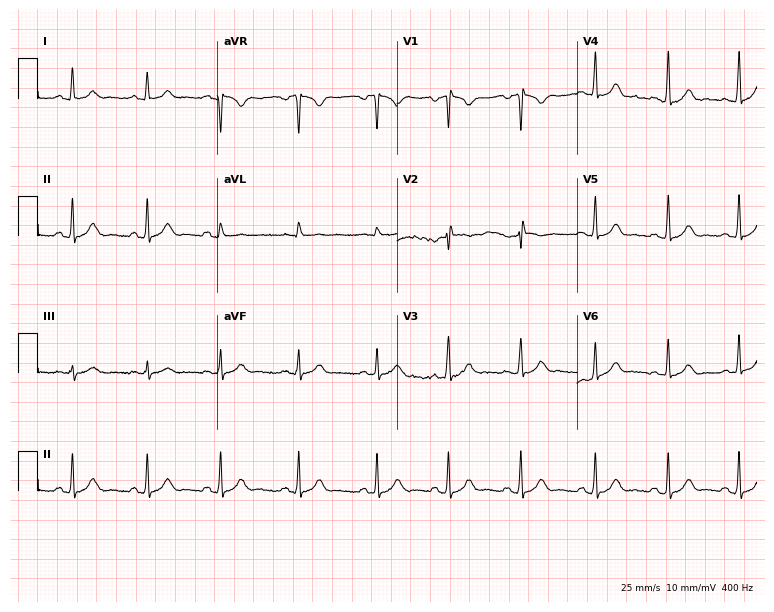
12-lead ECG from an 18-year-old woman (7.3-second recording at 400 Hz). No first-degree AV block, right bundle branch block (RBBB), left bundle branch block (LBBB), sinus bradycardia, atrial fibrillation (AF) or sinus tachycardia recorded for this tracing.